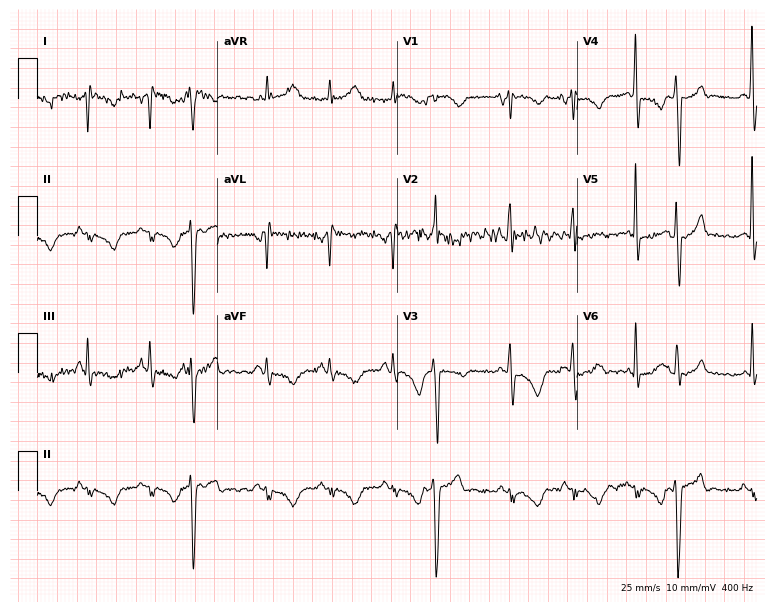
12-lead ECG (7.3-second recording at 400 Hz) from a 77-year-old male patient. Screened for six findings — first-degree AV block, right bundle branch block (RBBB), left bundle branch block (LBBB), sinus bradycardia, atrial fibrillation (AF), sinus tachycardia — none is recorded. Only these six findings were labelled.